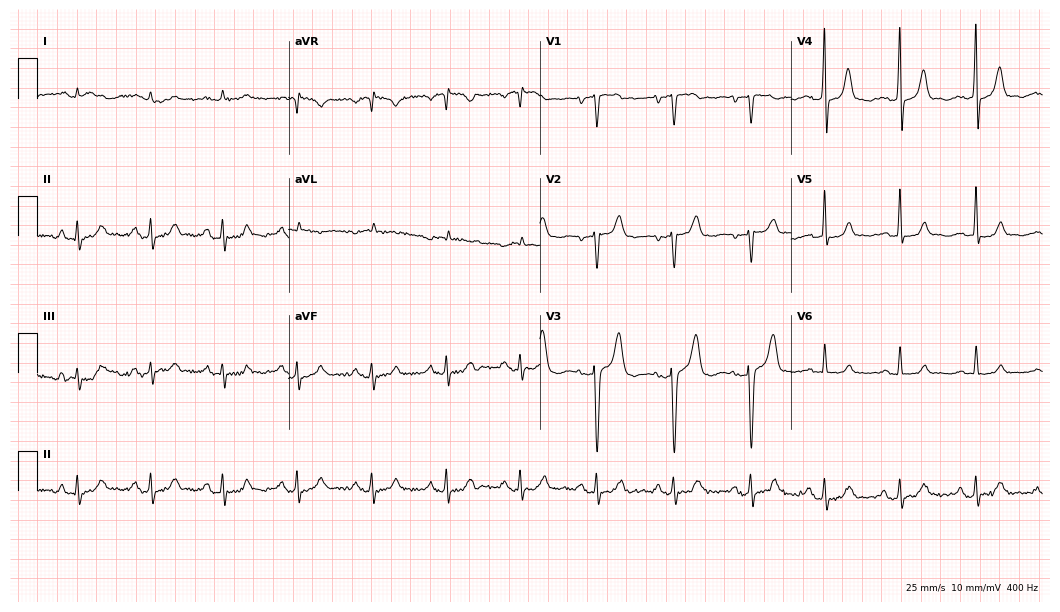
12-lead ECG from a female patient, 69 years old (10.2-second recording at 400 Hz). Recorded interpretation: within normal limits.